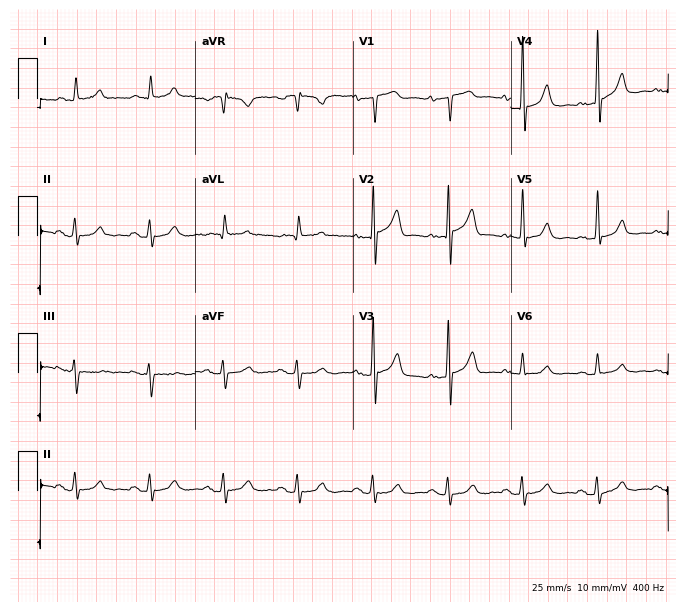
12-lead ECG from a 70-year-old male (6.4-second recording at 400 Hz). No first-degree AV block, right bundle branch block, left bundle branch block, sinus bradycardia, atrial fibrillation or sinus tachycardia recorded for this tracing. Other findings, if any, are not listed.